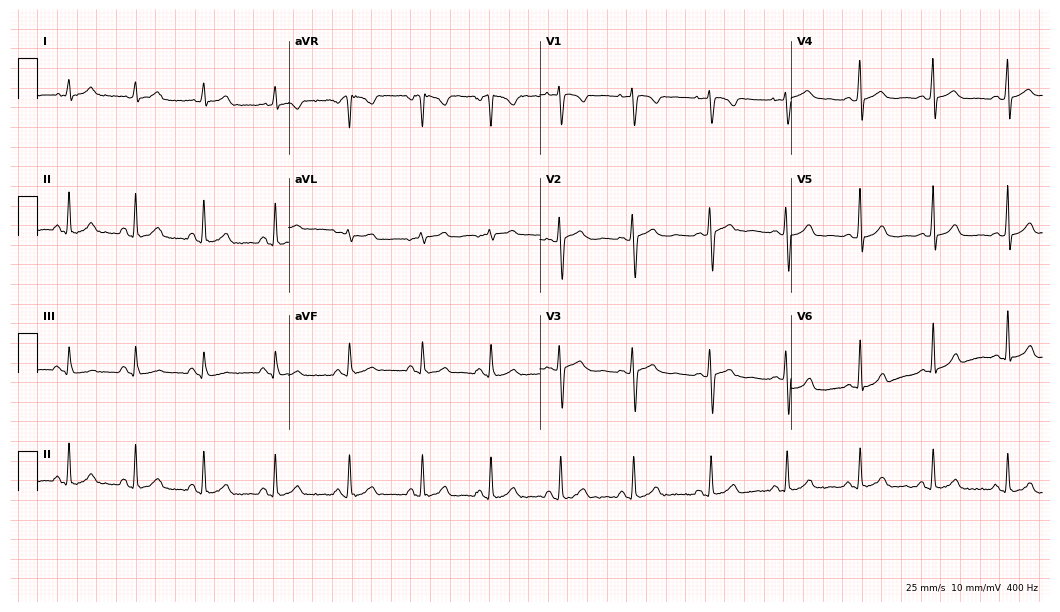
12-lead ECG from a 20-year-old man. Recorded interpretation: within normal limits.